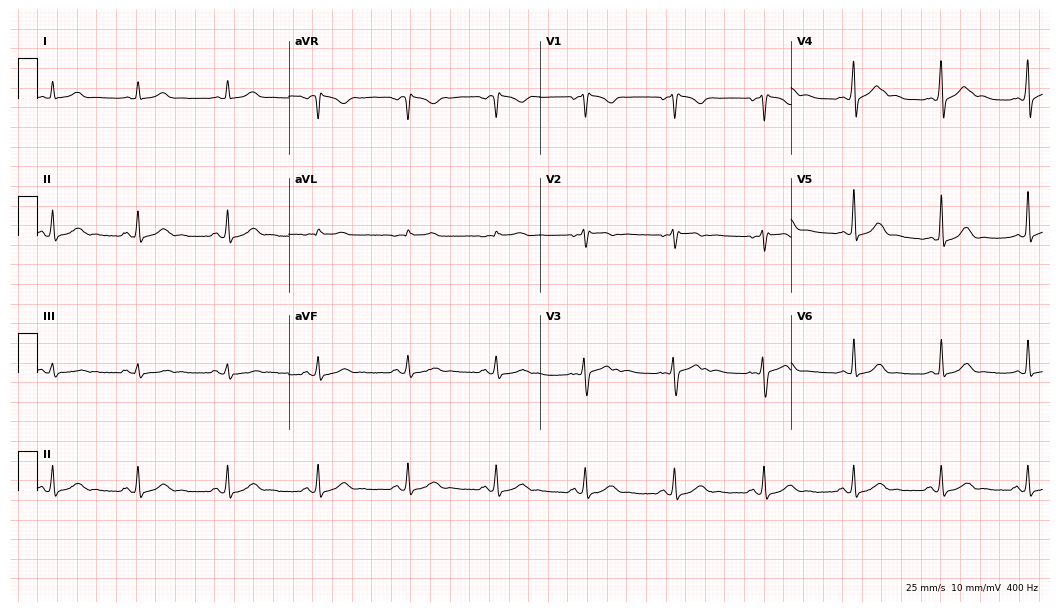
12-lead ECG (10.2-second recording at 400 Hz) from a 39-year-old female. Labelled as a normal ECG.